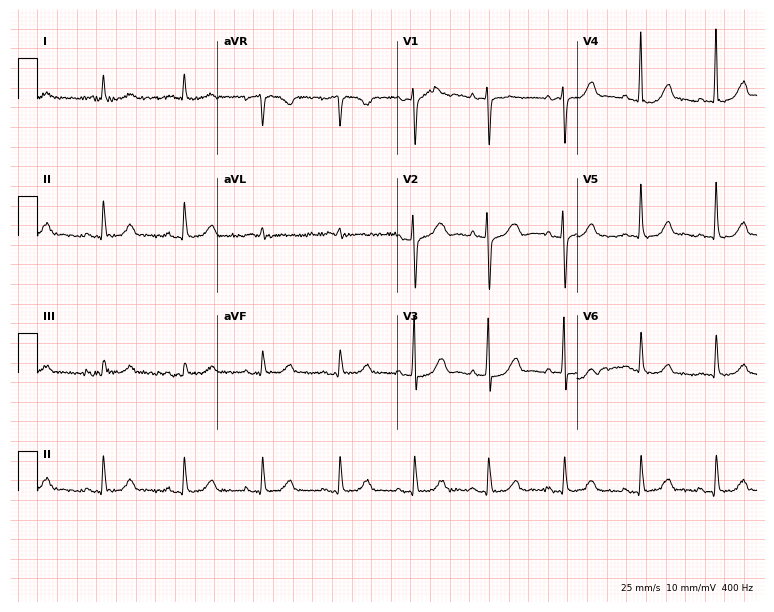
ECG — a female patient, 79 years old. Labelled as a normal ECG.